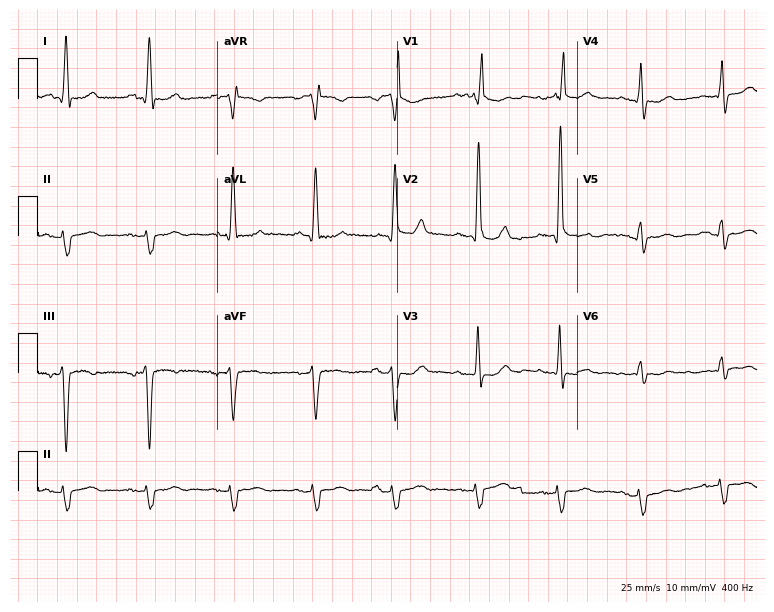
Resting 12-lead electrocardiogram. Patient: a male, 75 years old. The tracing shows right bundle branch block.